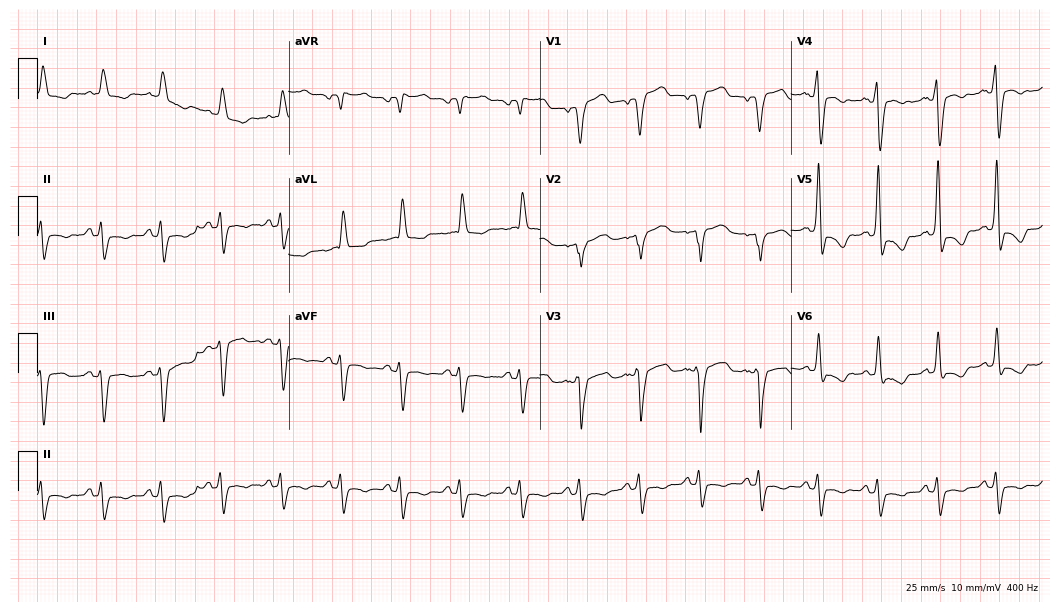
12-lead ECG from an 85-year-old male. Shows left bundle branch block (LBBB).